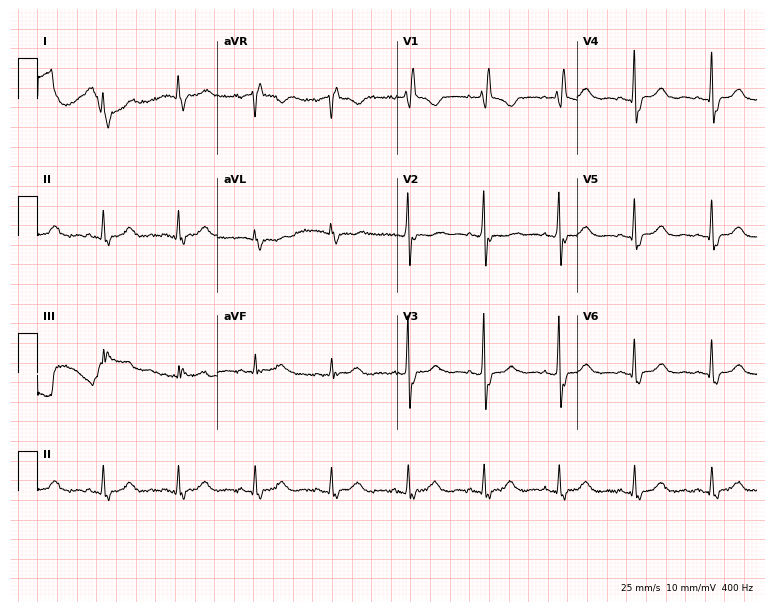
12-lead ECG from a woman, 80 years old. Findings include right bundle branch block.